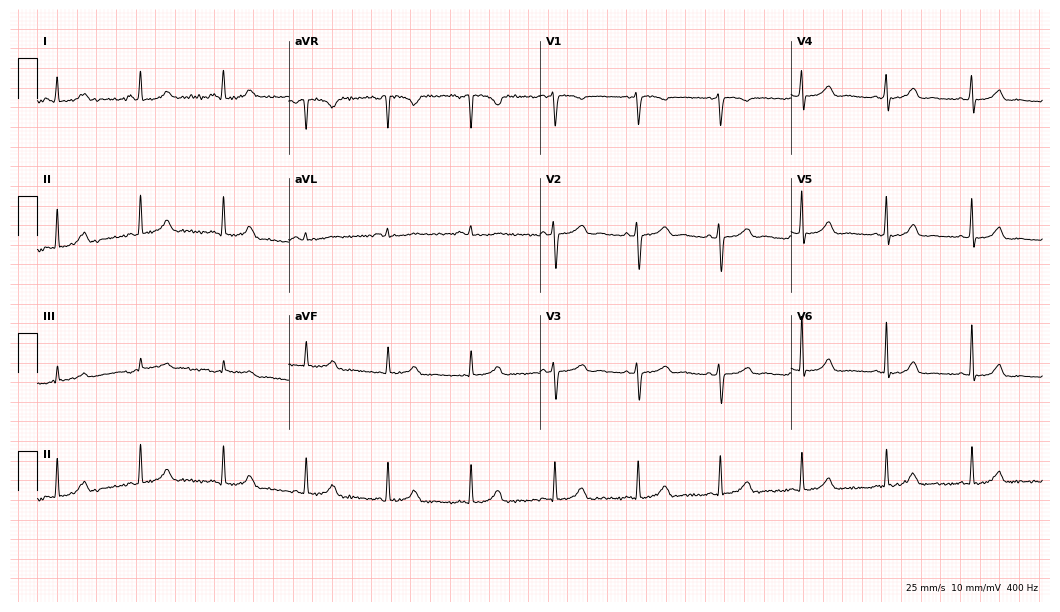
12-lead ECG from a 50-year-old female. Screened for six findings — first-degree AV block, right bundle branch block, left bundle branch block, sinus bradycardia, atrial fibrillation, sinus tachycardia — none is recorded.